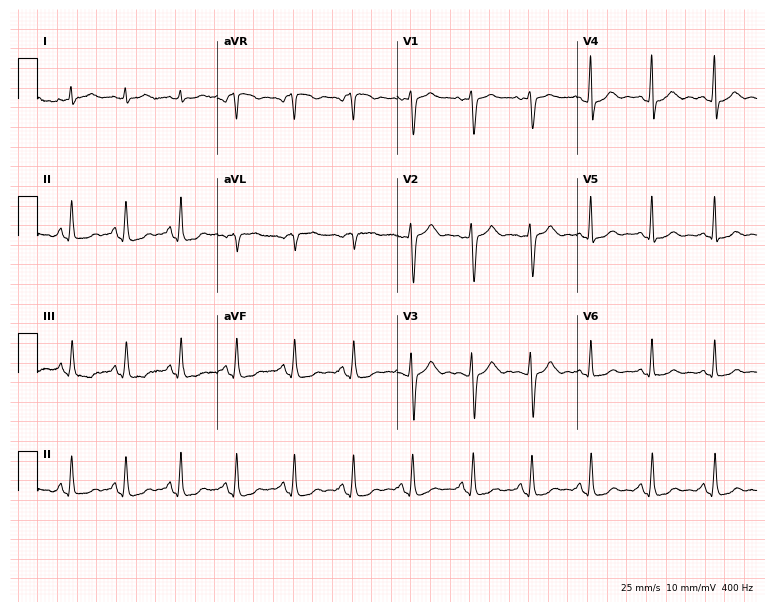
Electrocardiogram (7.3-second recording at 400 Hz), a 34-year-old female. Of the six screened findings (first-degree AV block, right bundle branch block (RBBB), left bundle branch block (LBBB), sinus bradycardia, atrial fibrillation (AF), sinus tachycardia), none is recorded. Only these six findings were labelled.